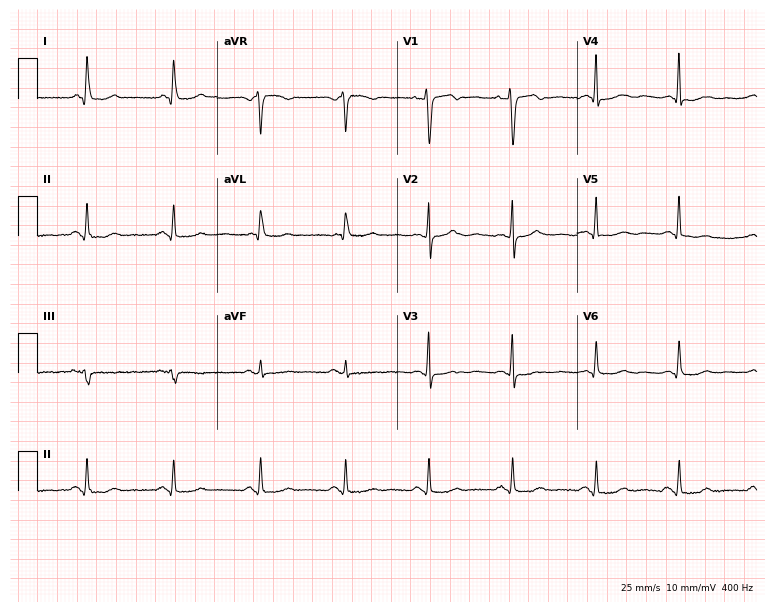
12-lead ECG from a 54-year-old female patient (7.3-second recording at 400 Hz). No first-degree AV block, right bundle branch block, left bundle branch block, sinus bradycardia, atrial fibrillation or sinus tachycardia recorded for this tracing.